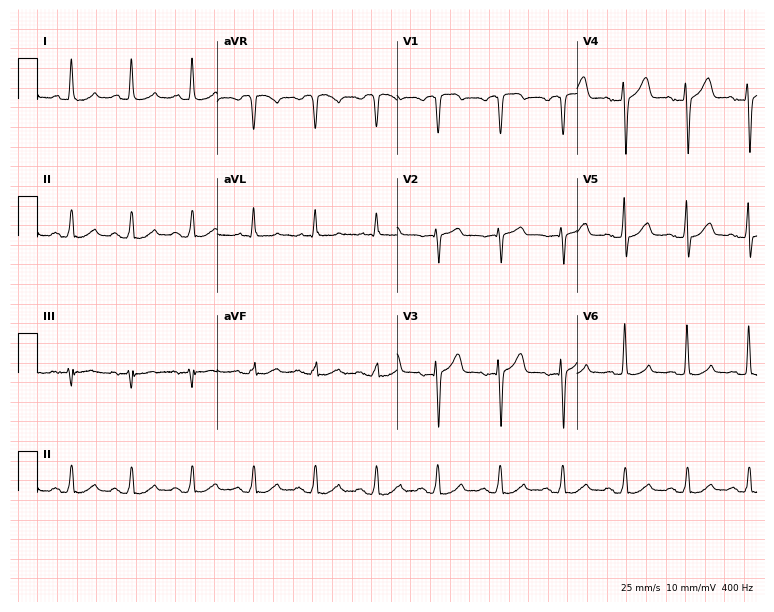
Electrocardiogram (7.3-second recording at 400 Hz), a 54-year-old female. Overall reading on record: normal ECG.